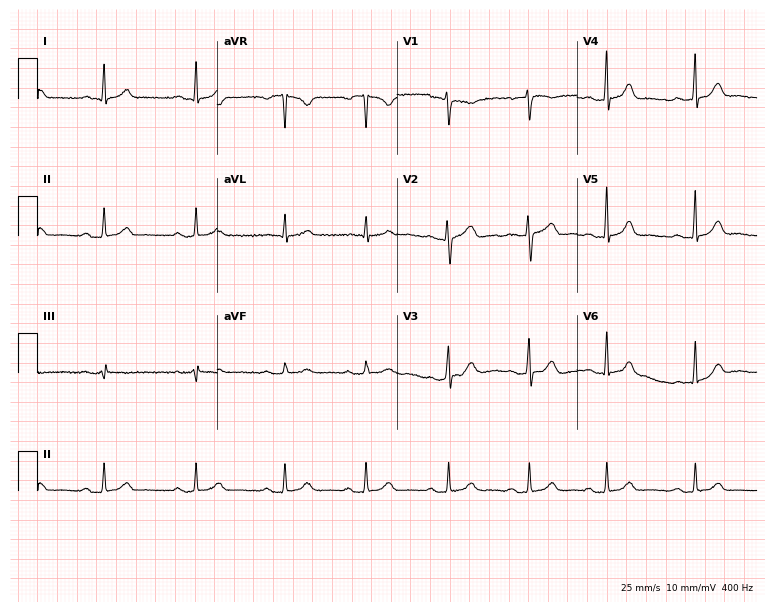
Standard 12-lead ECG recorded from a female, 26 years old. Read as a normal ECG.